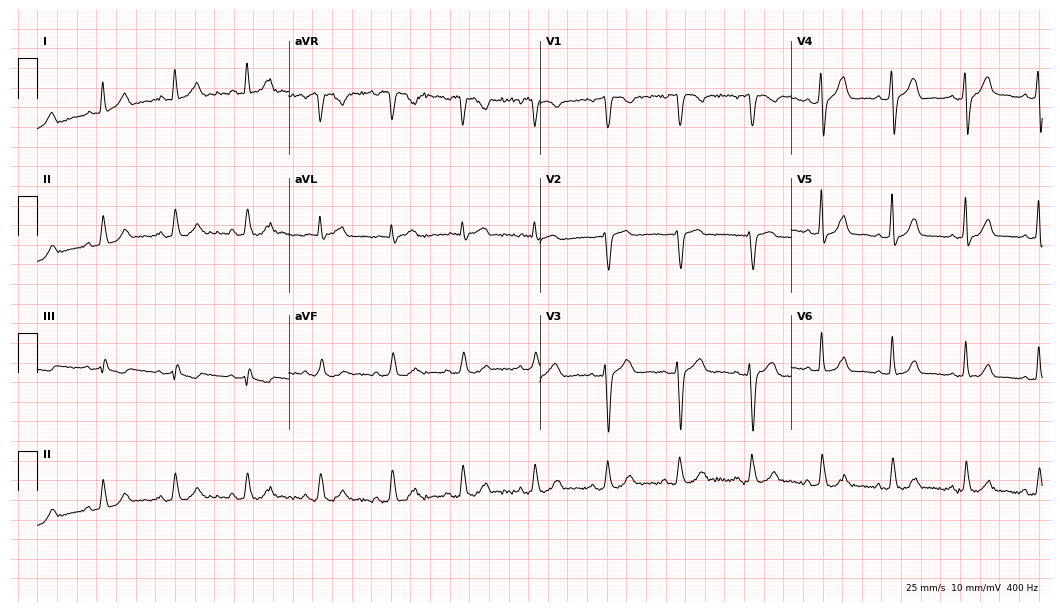
Standard 12-lead ECG recorded from a female patient, 46 years old (10.2-second recording at 400 Hz). Read as a normal ECG.